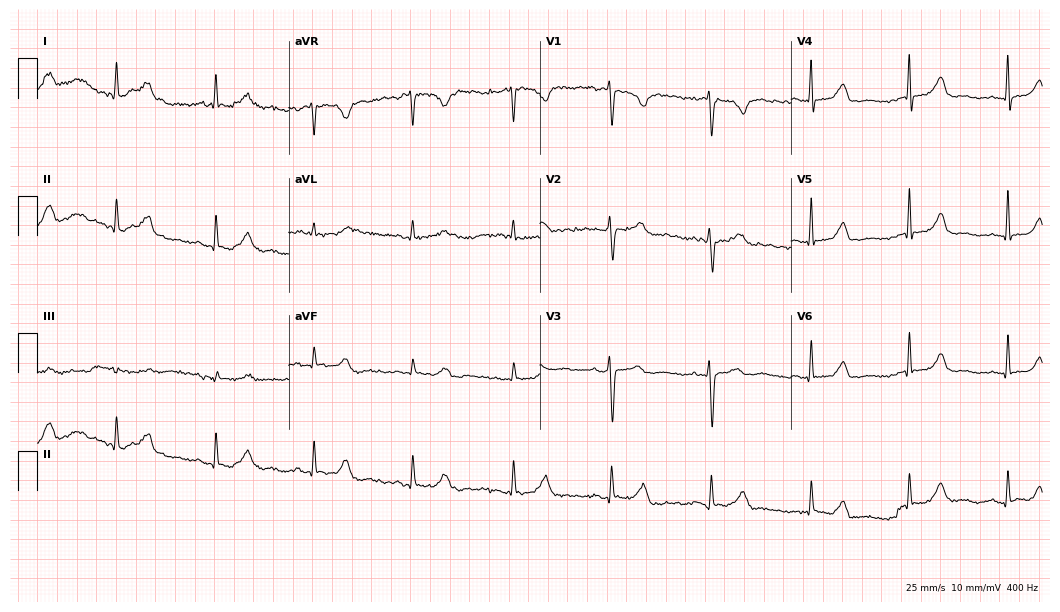
Electrocardiogram (10.2-second recording at 400 Hz), a 52-year-old woman. Overall reading on record: normal ECG.